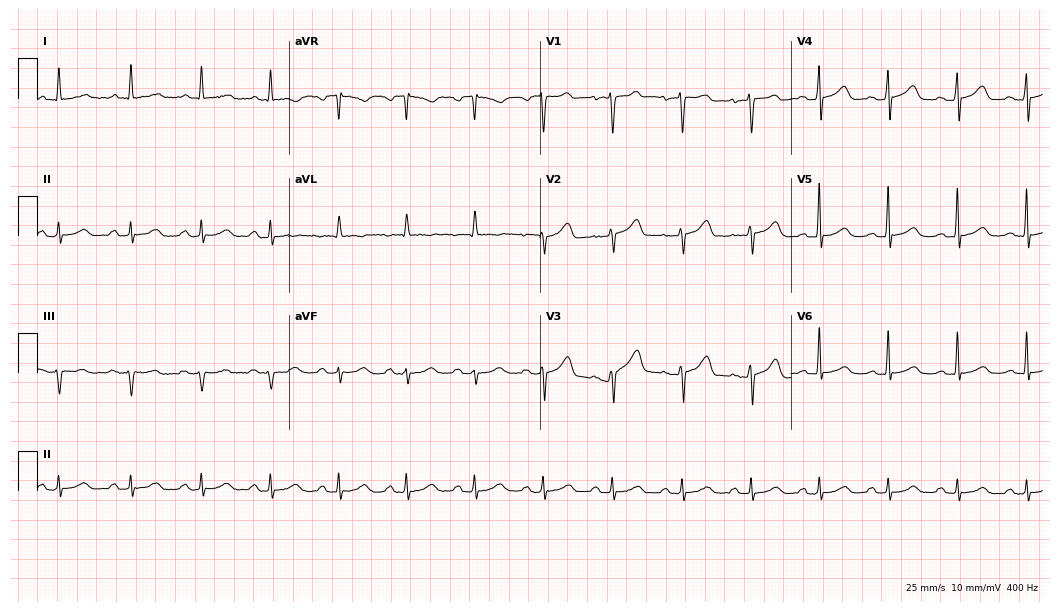
12-lead ECG from a 71-year-old woman (10.2-second recording at 400 Hz). Recorded interpretation: within normal limits.